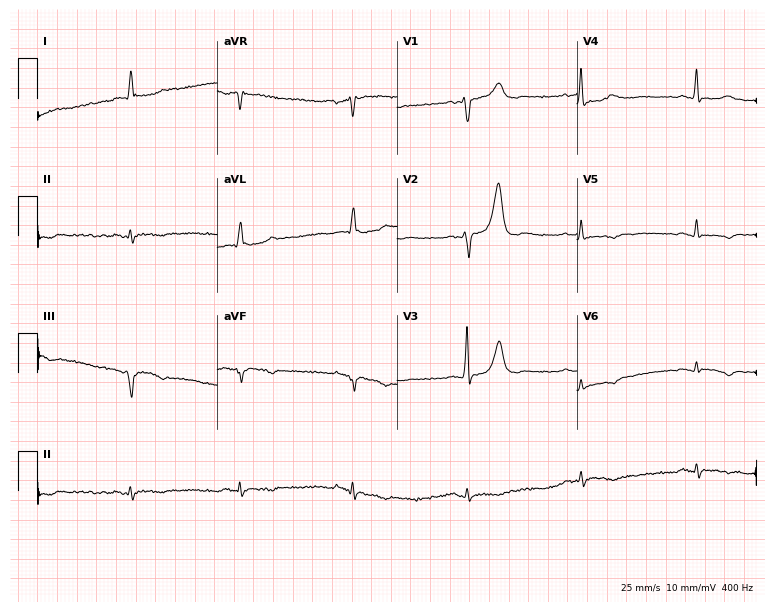
ECG — a male patient, 64 years old. Screened for six findings — first-degree AV block, right bundle branch block, left bundle branch block, sinus bradycardia, atrial fibrillation, sinus tachycardia — none is recorded.